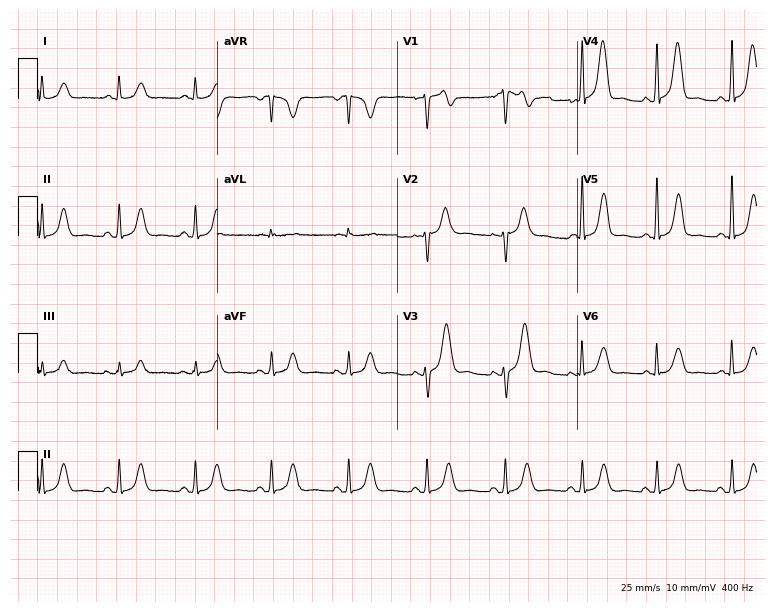
12-lead ECG from a 51-year-old woman. No first-degree AV block, right bundle branch block, left bundle branch block, sinus bradycardia, atrial fibrillation or sinus tachycardia recorded for this tracing. Other findings, if any, are not listed.